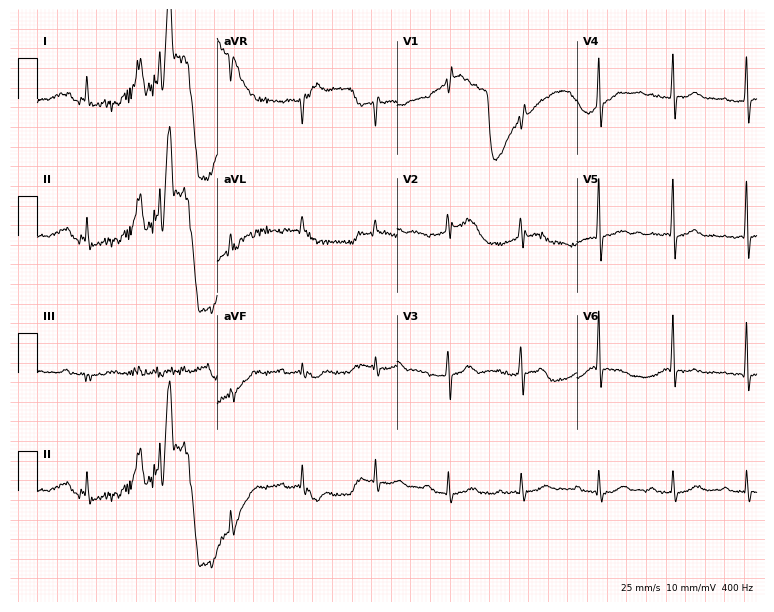
Electrocardiogram, a male patient, 79 years old. Of the six screened findings (first-degree AV block, right bundle branch block (RBBB), left bundle branch block (LBBB), sinus bradycardia, atrial fibrillation (AF), sinus tachycardia), none is recorded.